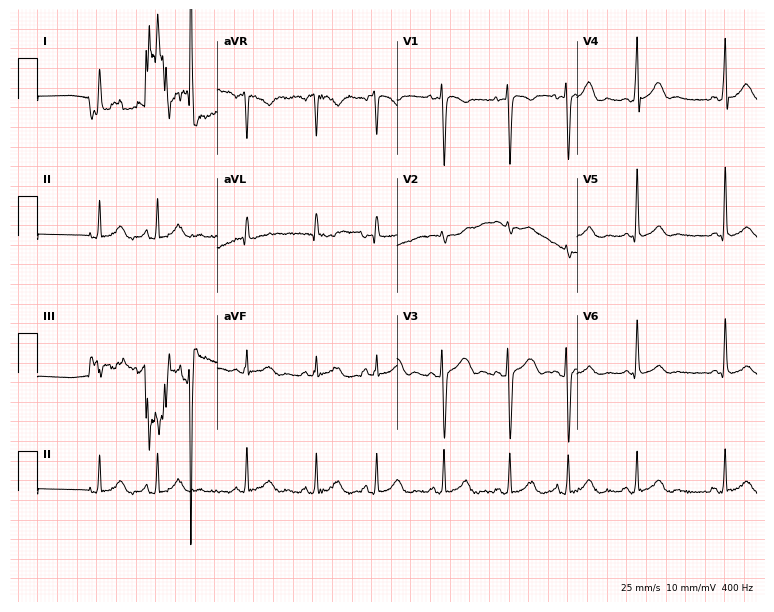
Resting 12-lead electrocardiogram (7.3-second recording at 400 Hz). Patient: a 22-year-old female. Read as a normal ECG.